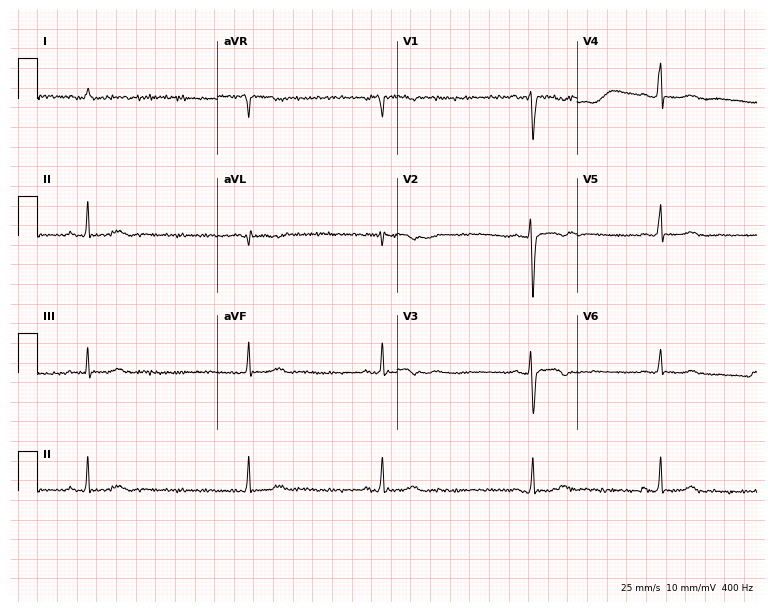
Standard 12-lead ECG recorded from a 23-year-old woman (7.3-second recording at 400 Hz). The tracing shows sinus bradycardia (a sinus rate of 50 beats per minute or less).